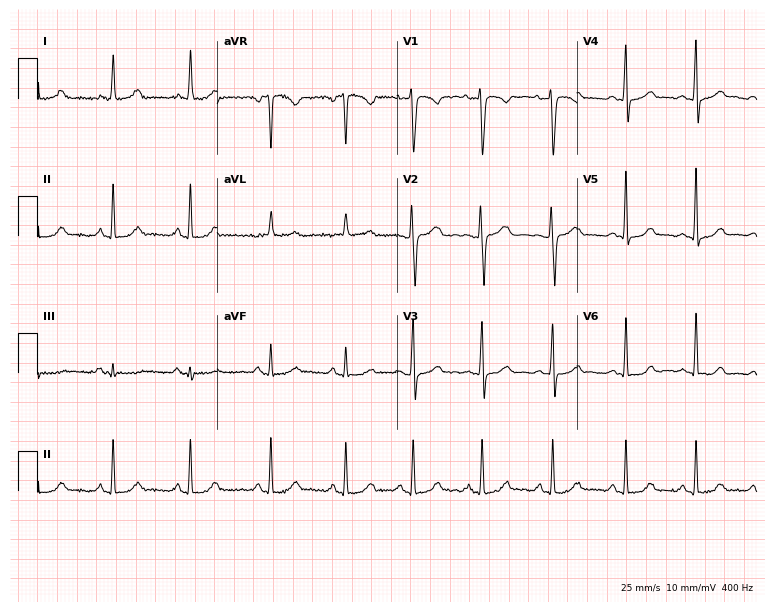
12-lead ECG from a 28-year-old female patient. Screened for six findings — first-degree AV block, right bundle branch block, left bundle branch block, sinus bradycardia, atrial fibrillation, sinus tachycardia — none is recorded.